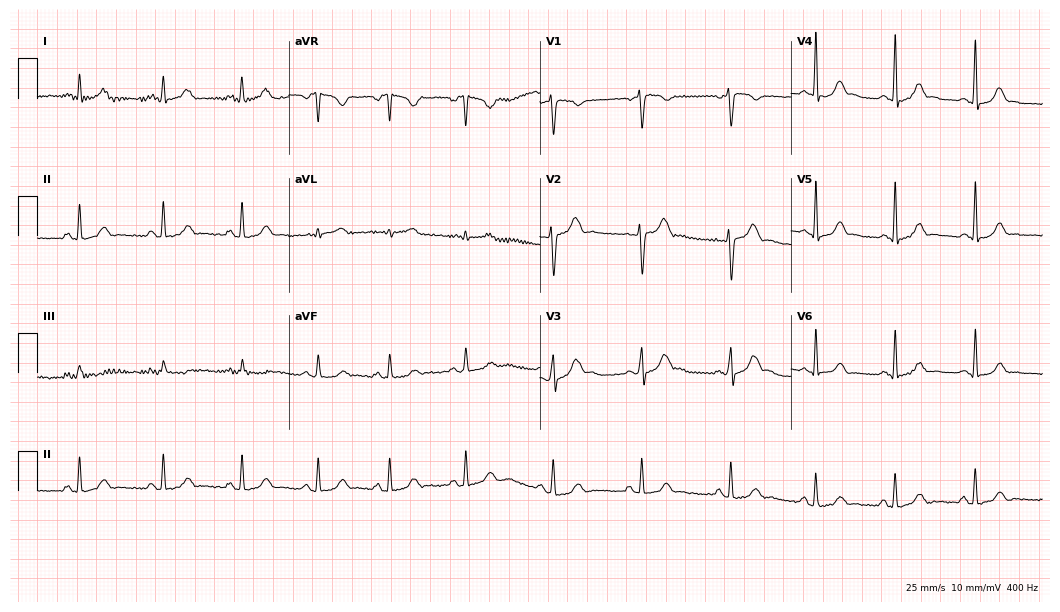
Standard 12-lead ECG recorded from a 26-year-old woman. Read as a normal ECG.